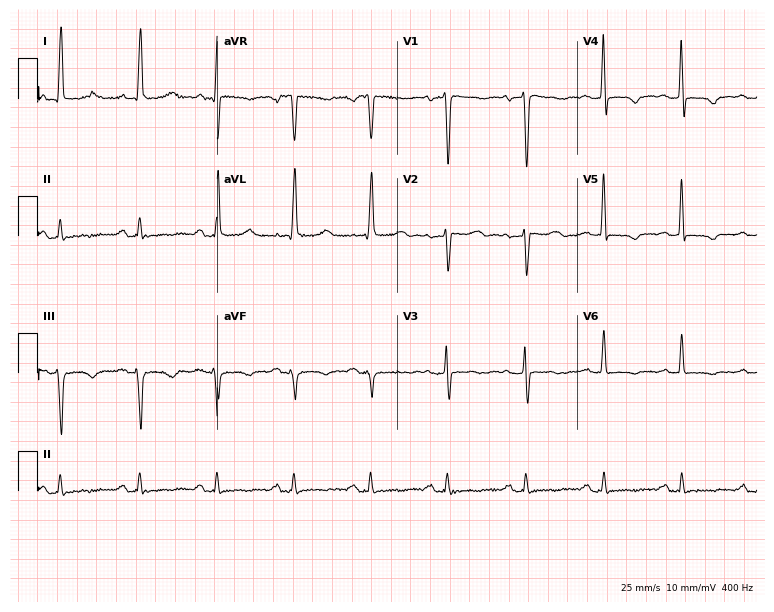
ECG (7.3-second recording at 400 Hz) — a female patient, 50 years old. Screened for six findings — first-degree AV block, right bundle branch block, left bundle branch block, sinus bradycardia, atrial fibrillation, sinus tachycardia — none is recorded.